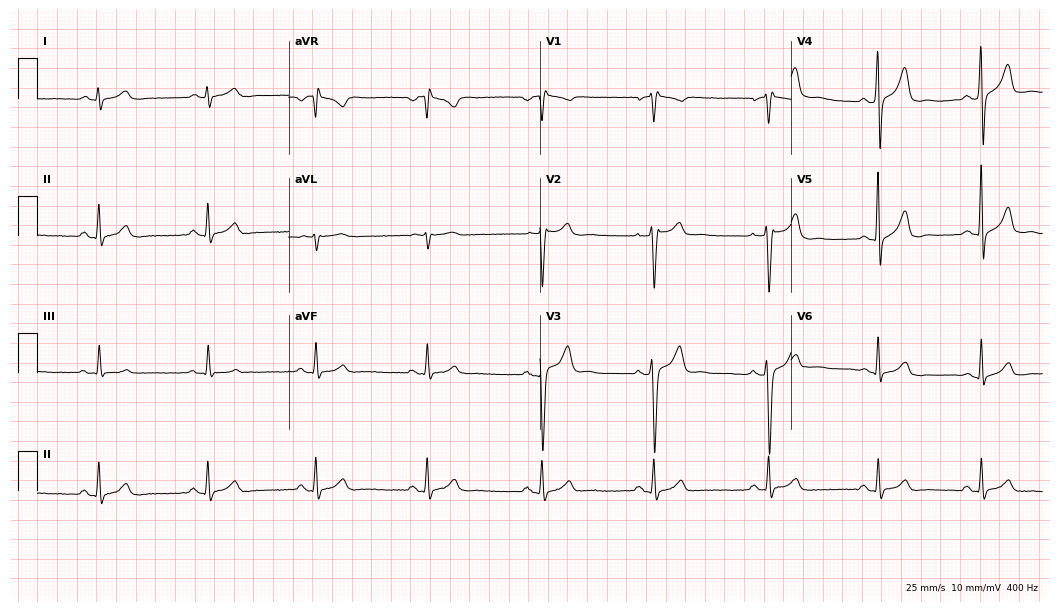
Electrocardiogram, a male patient, 38 years old. Overall reading on record: normal ECG.